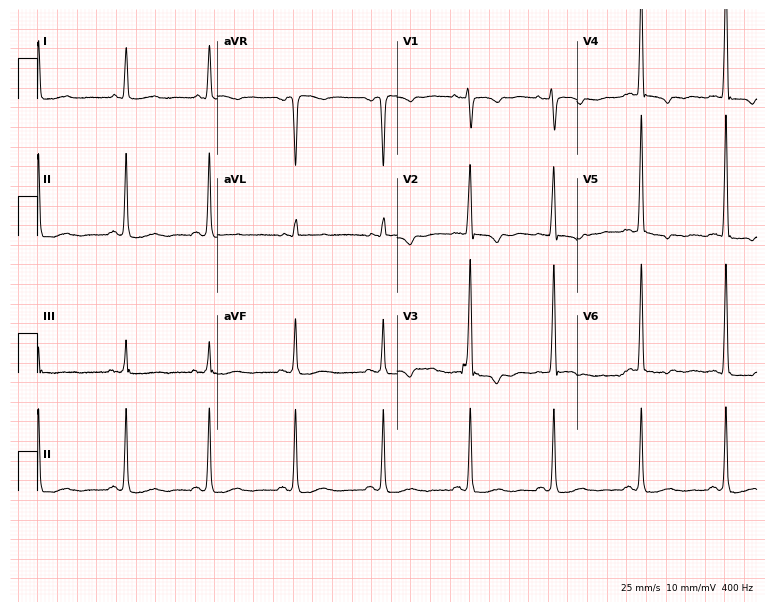
Resting 12-lead electrocardiogram. Patient: a 37-year-old woman. None of these six findings is recorded: first-degree AV block, right bundle branch block, left bundle branch block, sinus bradycardia, atrial fibrillation, sinus tachycardia.